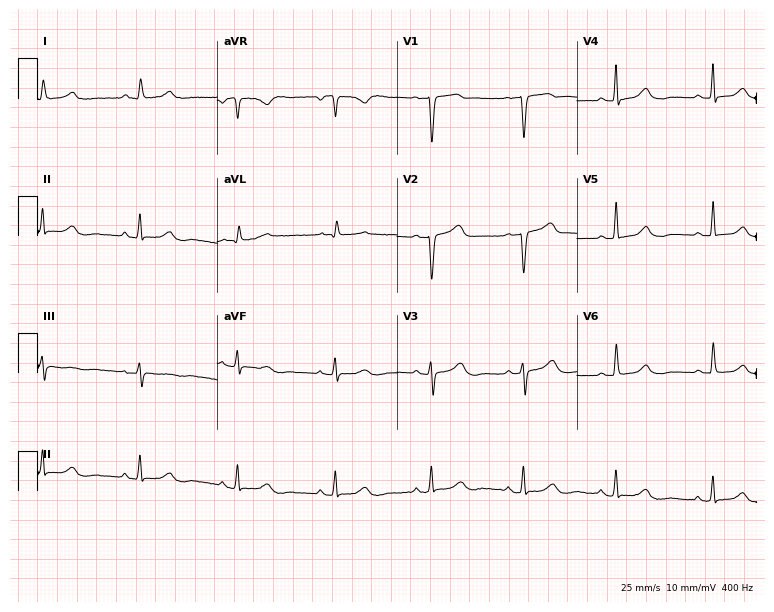
Standard 12-lead ECG recorded from a 64-year-old female patient (7.3-second recording at 400 Hz). None of these six findings is recorded: first-degree AV block, right bundle branch block, left bundle branch block, sinus bradycardia, atrial fibrillation, sinus tachycardia.